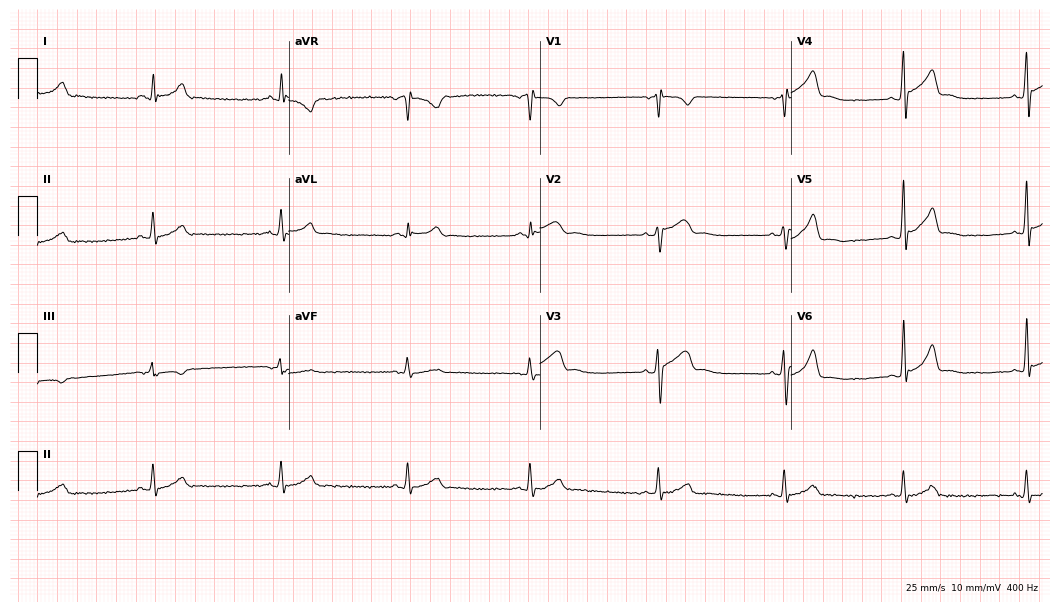
Resting 12-lead electrocardiogram (10.2-second recording at 400 Hz). Patient: a 57-year-old male. The tracing shows sinus bradycardia (a sinus rate of 50 beats per minute or less).